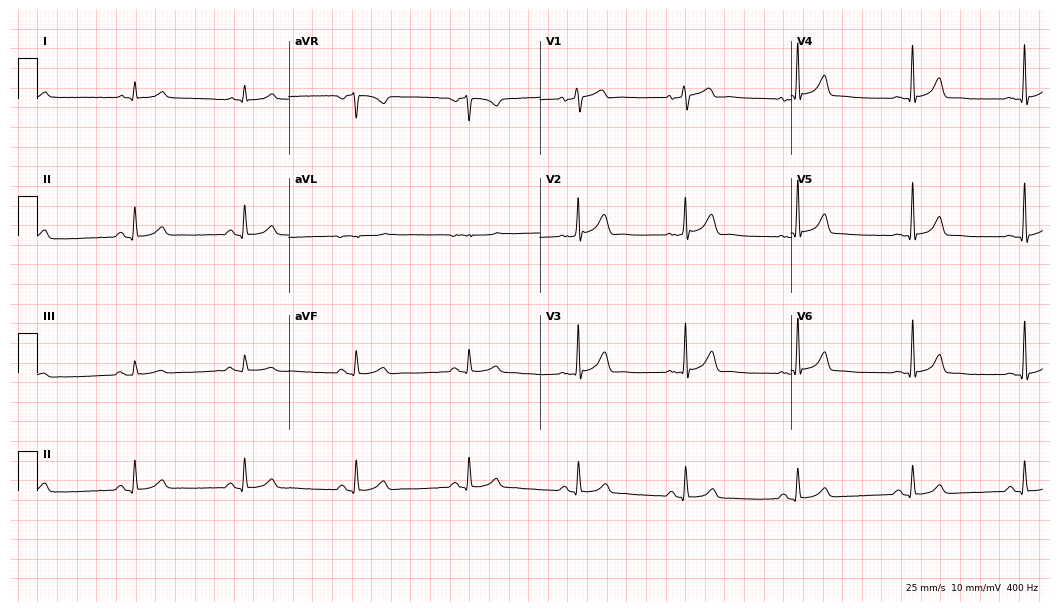
ECG — a 52-year-old man. Labelled as a normal ECG.